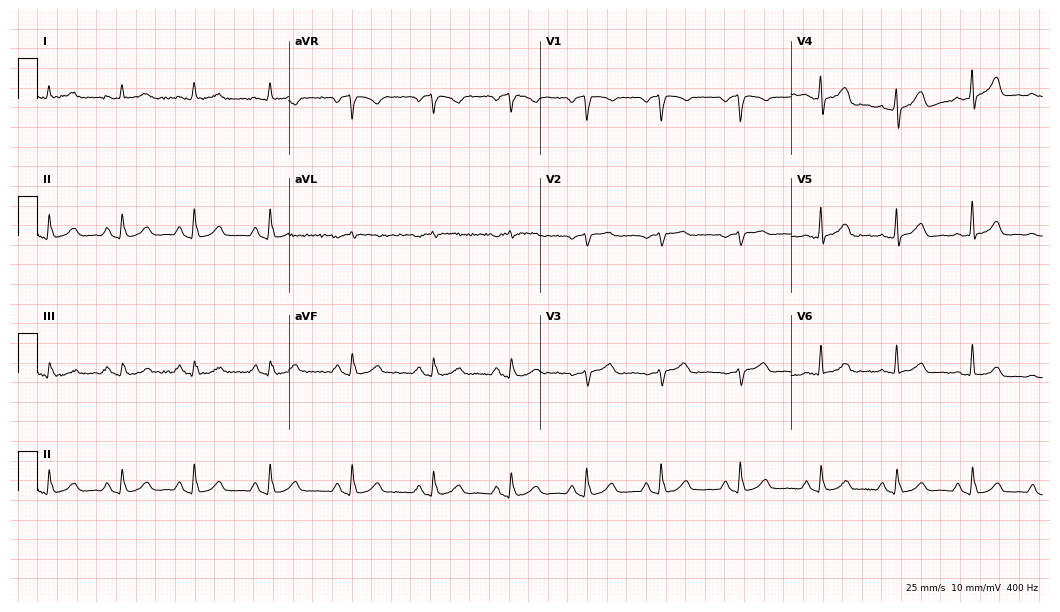
Electrocardiogram, a man, 63 years old. Of the six screened findings (first-degree AV block, right bundle branch block (RBBB), left bundle branch block (LBBB), sinus bradycardia, atrial fibrillation (AF), sinus tachycardia), none is recorded.